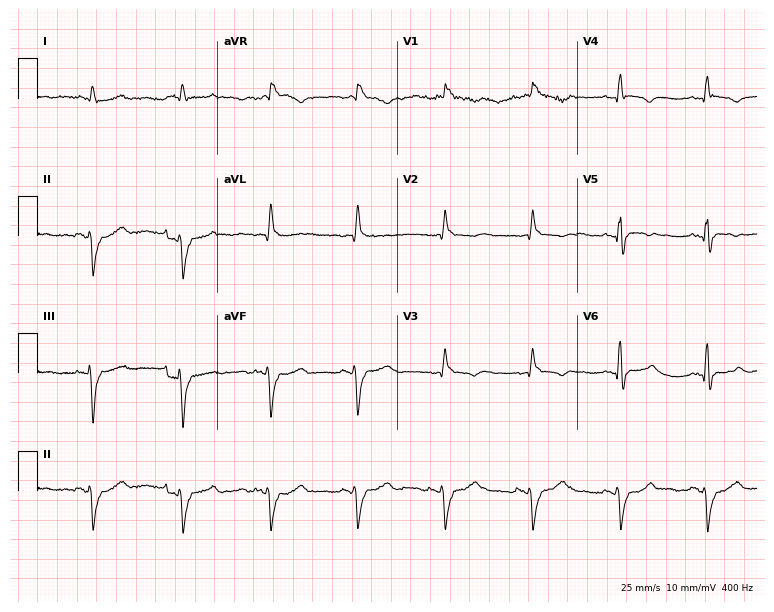
Electrocardiogram, a male, 43 years old. Interpretation includes right bundle branch block.